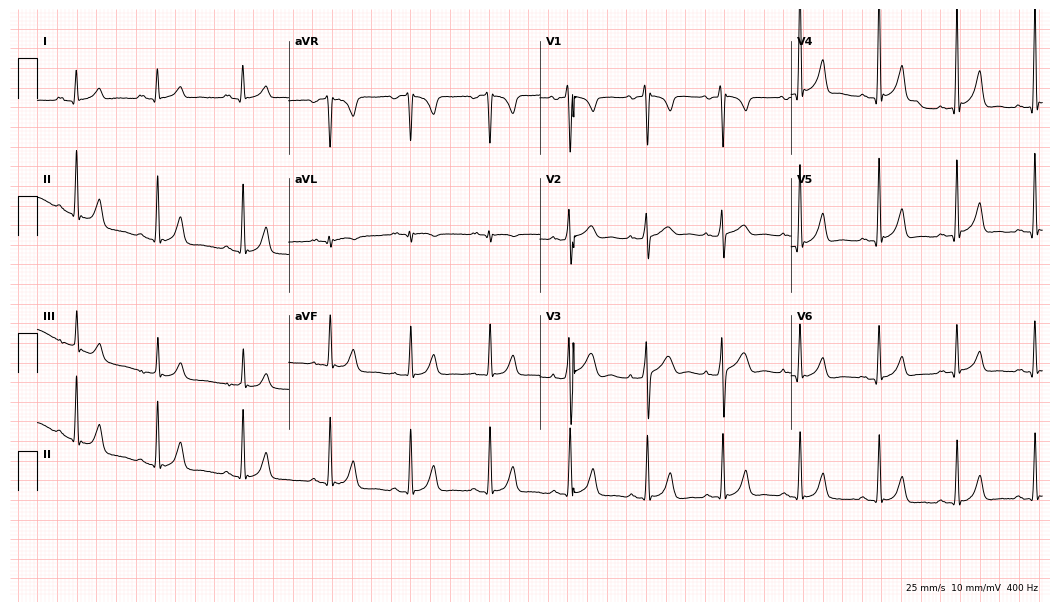
ECG (10.2-second recording at 400 Hz) — a male, 27 years old. Labelled as a normal ECG.